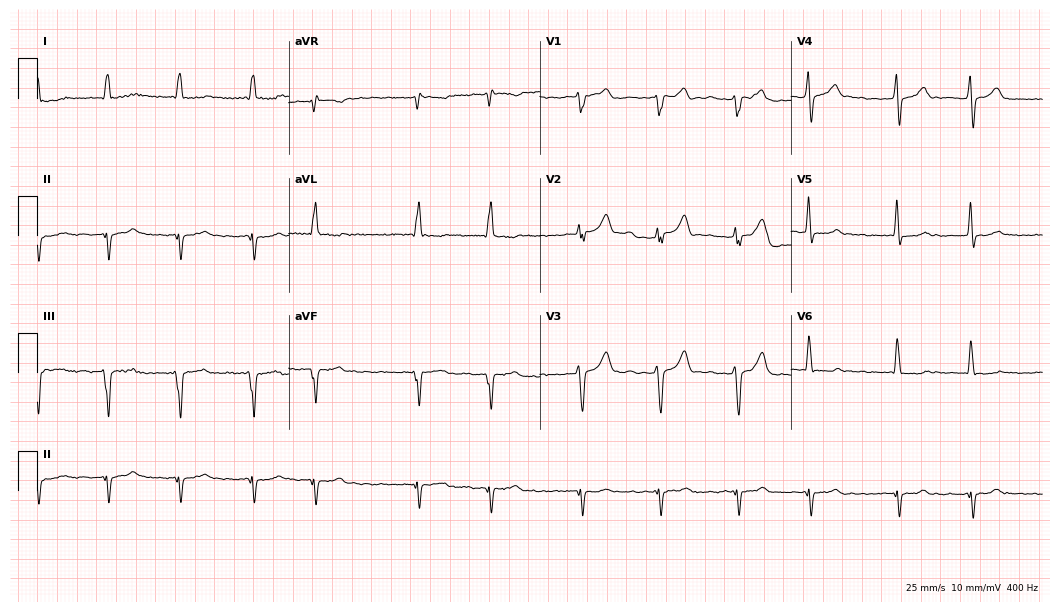
ECG — a male, 72 years old. Findings include atrial fibrillation.